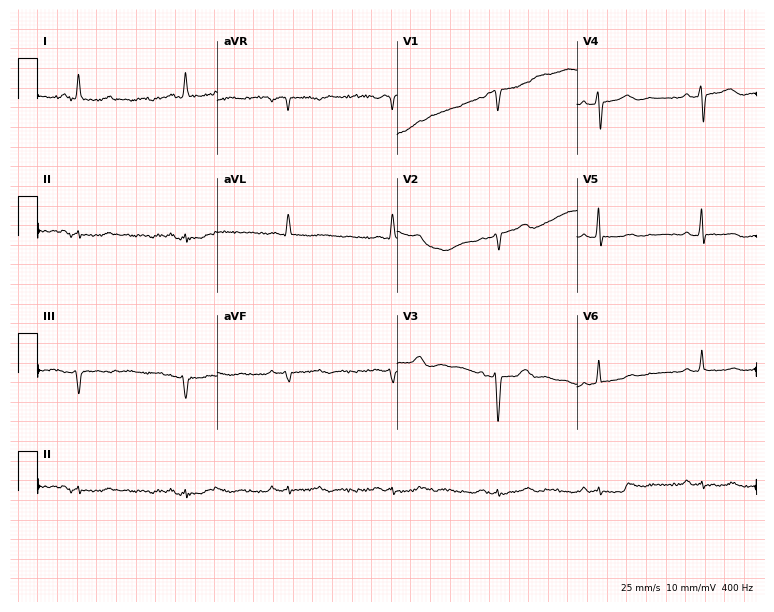
ECG — a female, 56 years old. Screened for six findings — first-degree AV block, right bundle branch block (RBBB), left bundle branch block (LBBB), sinus bradycardia, atrial fibrillation (AF), sinus tachycardia — none is recorded. Only these six findings were labelled.